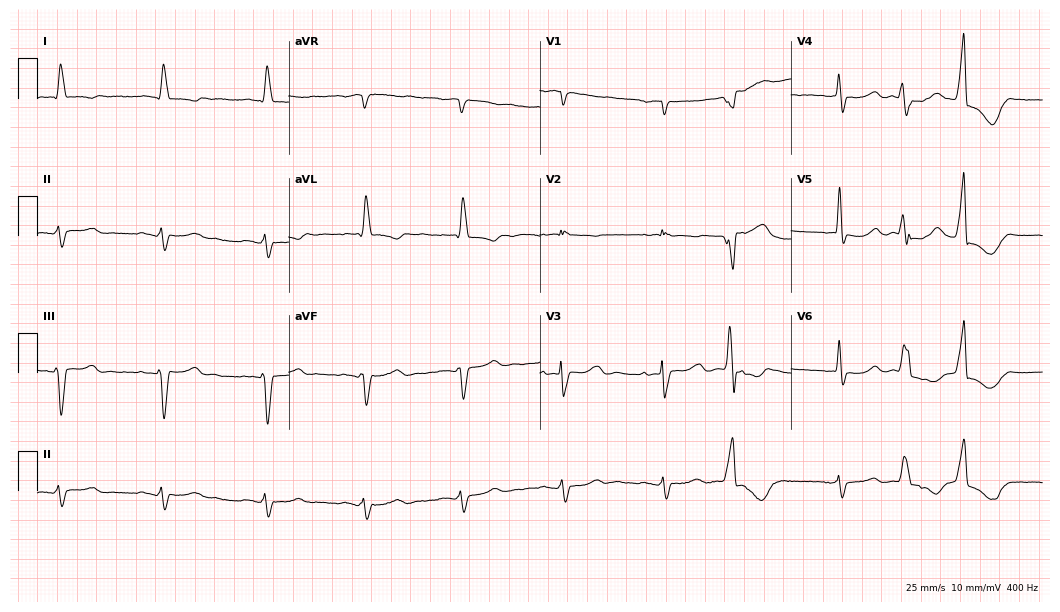
ECG — a woman, 84 years old. Findings include left bundle branch block (LBBB).